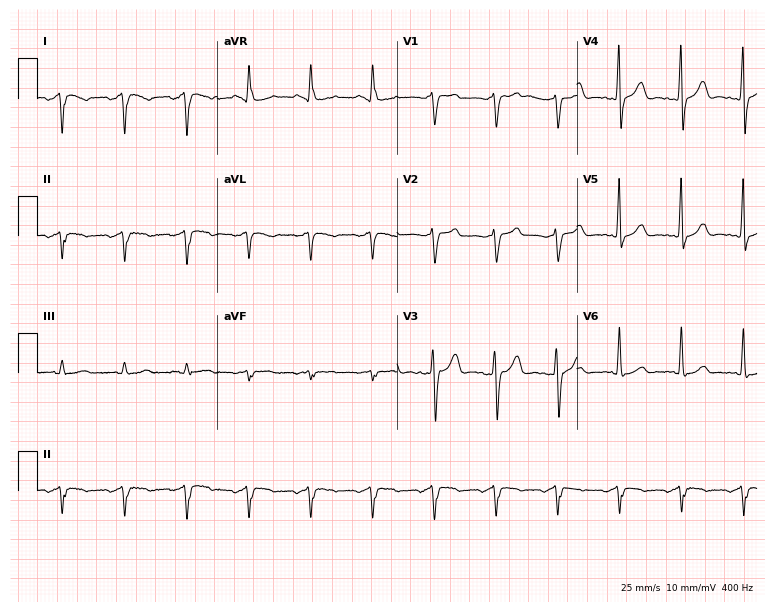
Electrocardiogram (7.3-second recording at 400 Hz), an 84-year-old male patient. Of the six screened findings (first-degree AV block, right bundle branch block (RBBB), left bundle branch block (LBBB), sinus bradycardia, atrial fibrillation (AF), sinus tachycardia), none is recorded.